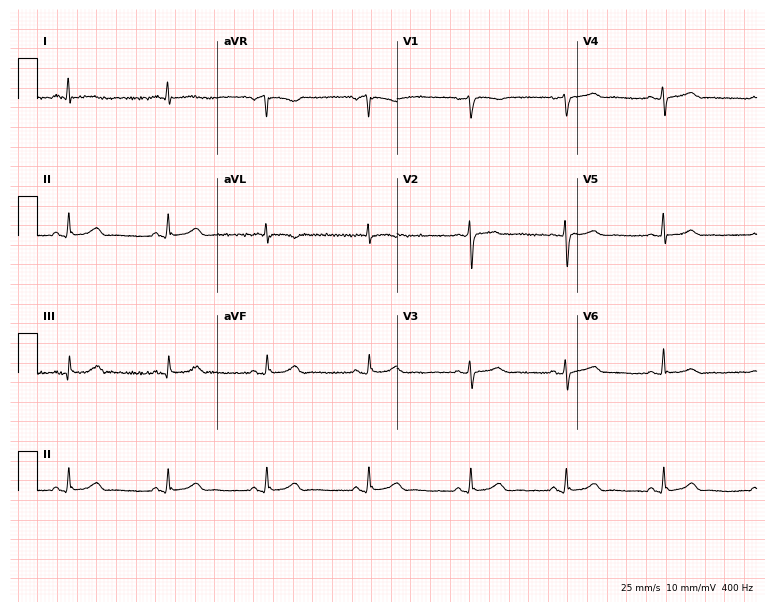
Resting 12-lead electrocardiogram. Patient: a woman, 41 years old. None of these six findings is recorded: first-degree AV block, right bundle branch block, left bundle branch block, sinus bradycardia, atrial fibrillation, sinus tachycardia.